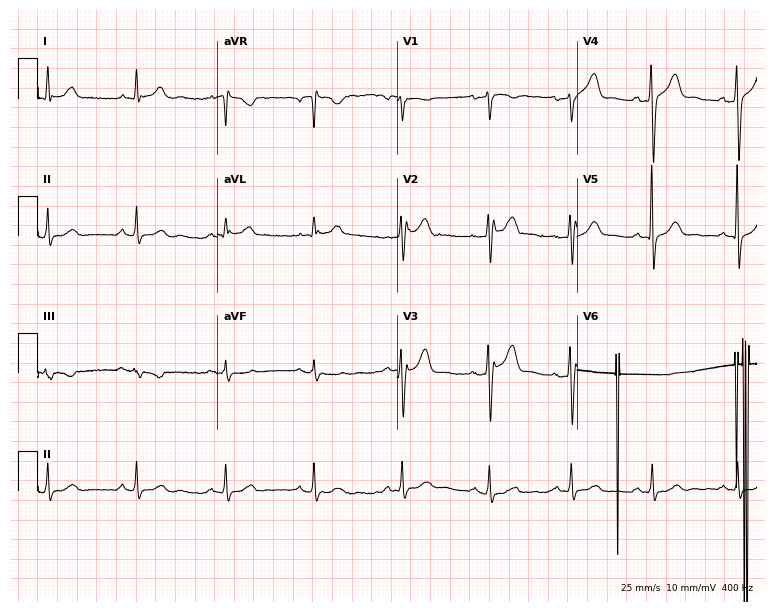
Resting 12-lead electrocardiogram (7.3-second recording at 400 Hz). Patient: a male, 64 years old. None of these six findings is recorded: first-degree AV block, right bundle branch block, left bundle branch block, sinus bradycardia, atrial fibrillation, sinus tachycardia.